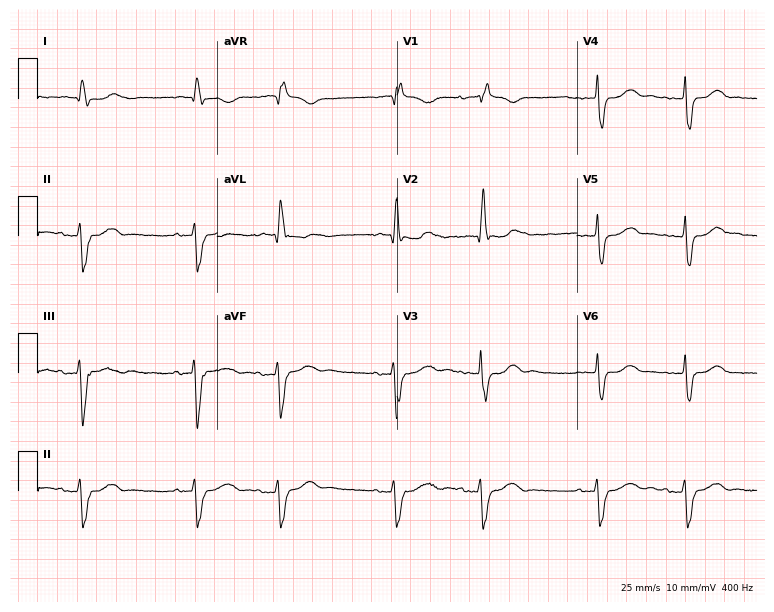
Electrocardiogram (7.3-second recording at 400 Hz), a woman, 75 years old. Interpretation includes right bundle branch block.